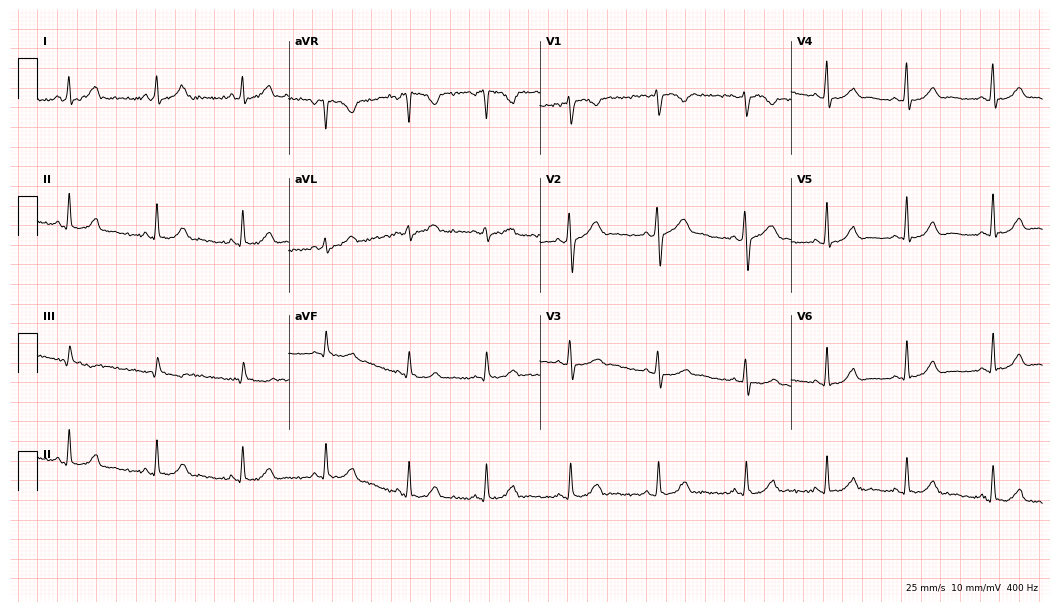
Standard 12-lead ECG recorded from a 32-year-old woman. Read as a normal ECG.